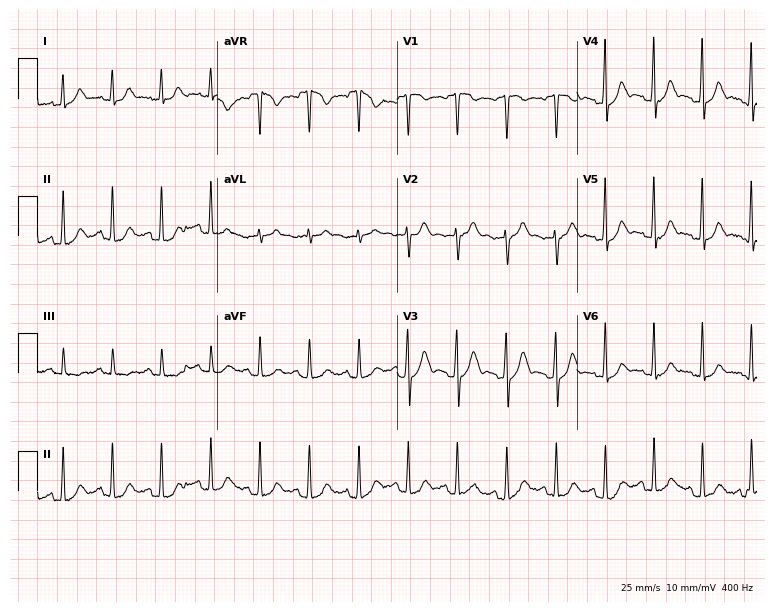
12-lead ECG (7.3-second recording at 400 Hz) from a woman, 40 years old. Findings include sinus tachycardia (a sinus rate of 100 beats per minute or more).